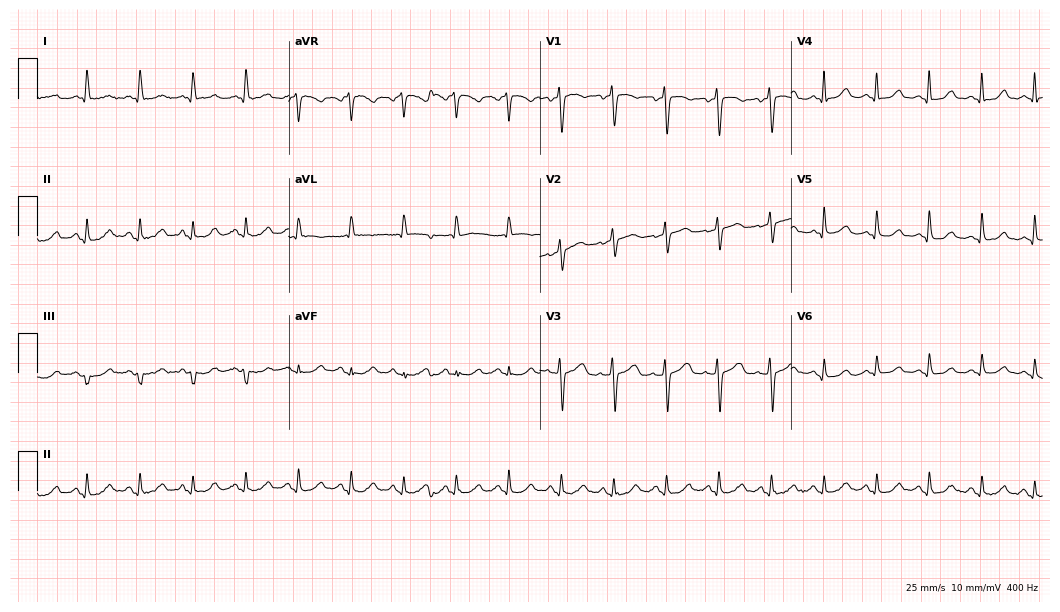
12-lead ECG from a 57-year-old woman. No first-degree AV block, right bundle branch block (RBBB), left bundle branch block (LBBB), sinus bradycardia, atrial fibrillation (AF) or sinus tachycardia recorded for this tracing. Findings outside these six are not listed.